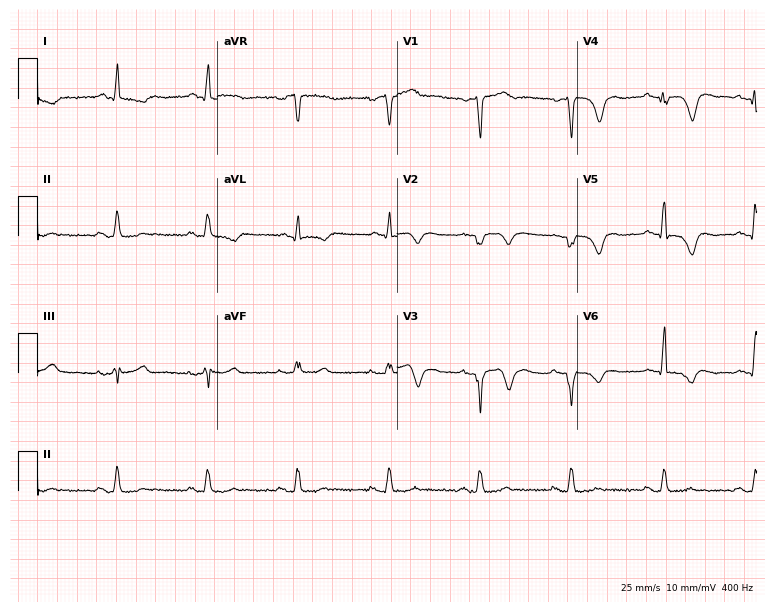
12-lead ECG from a male patient, 79 years old. No first-degree AV block, right bundle branch block, left bundle branch block, sinus bradycardia, atrial fibrillation or sinus tachycardia recorded for this tracing. Findings outside these six are not listed.